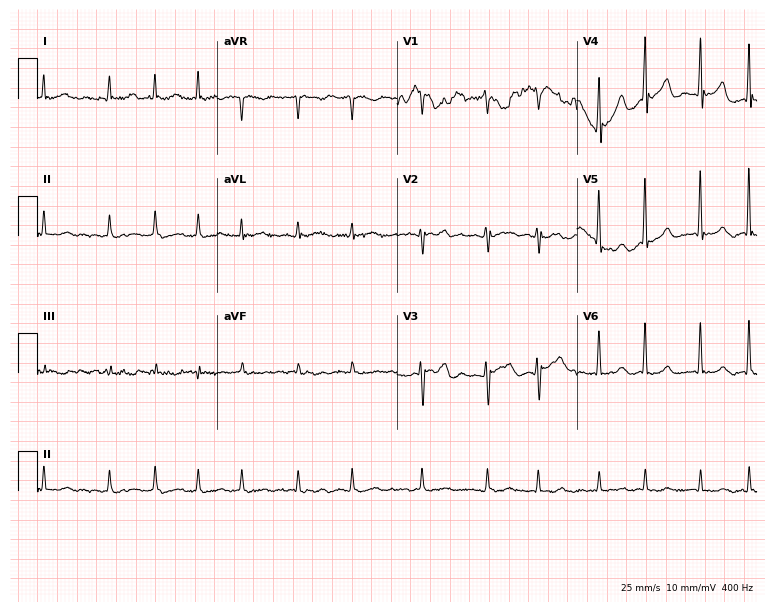
Electrocardiogram (7.3-second recording at 400 Hz), an 80-year-old male patient. Interpretation includes atrial fibrillation (AF).